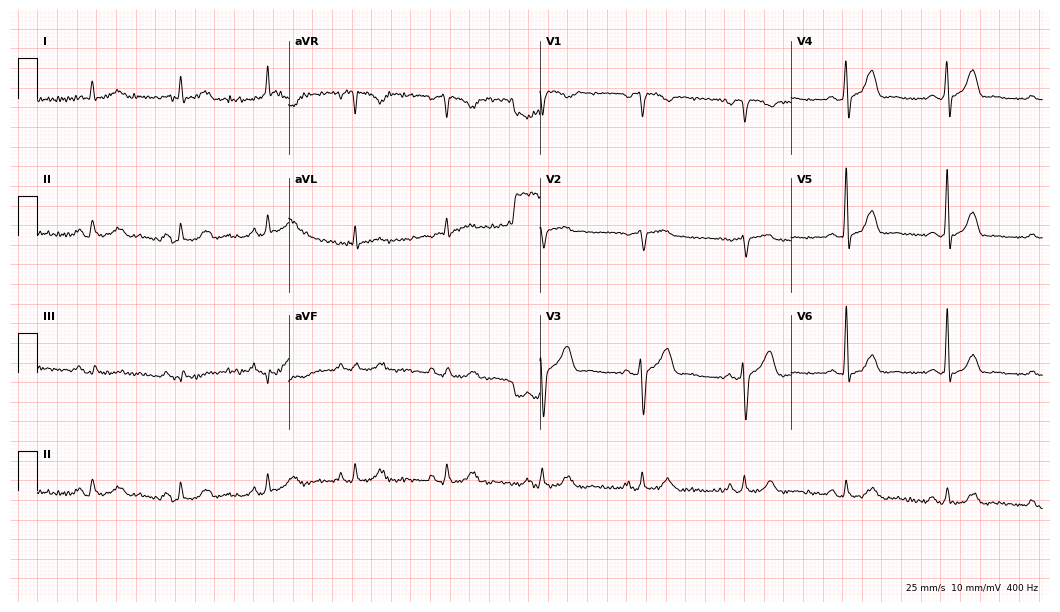
Electrocardiogram (10.2-second recording at 400 Hz), a man, 73 years old. Of the six screened findings (first-degree AV block, right bundle branch block, left bundle branch block, sinus bradycardia, atrial fibrillation, sinus tachycardia), none is recorded. Findings outside these six are not listed.